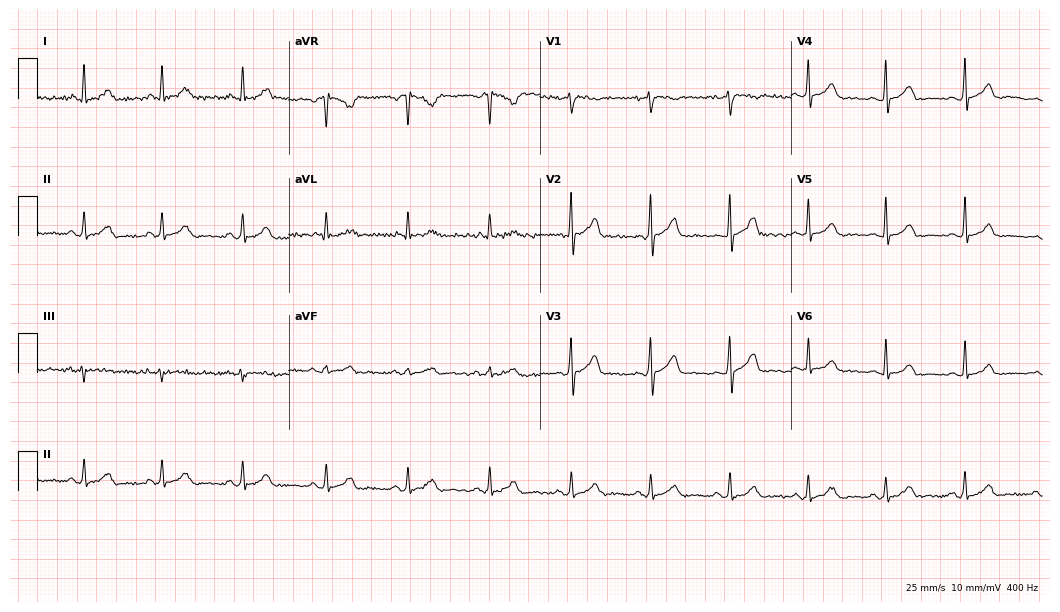
Resting 12-lead electrocardiogram. Patient: a 35-year-old woman. Read as a normal ECG.